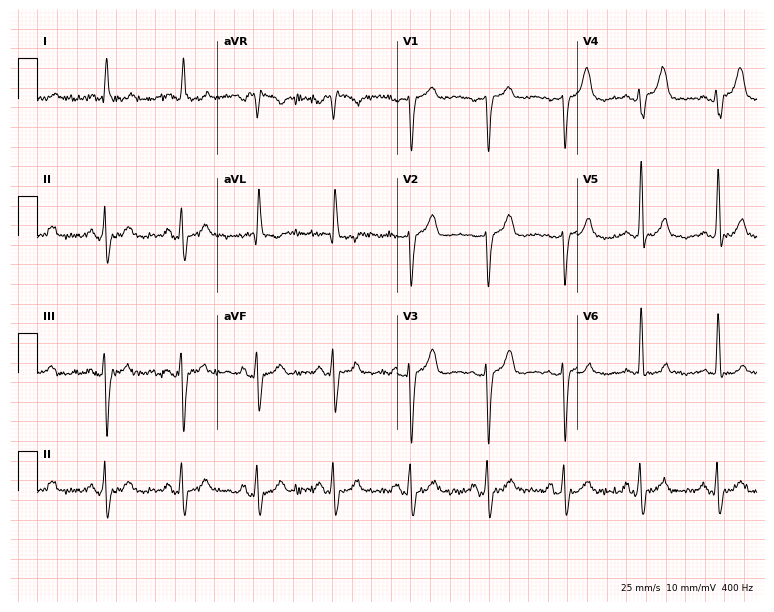
12-lead ECG from a woman, 85 years old (7.3-second recording at 400 Hz). No first-degree AV block, right bundle branch block (RBBB), left bundle branch block (LBBB), sinus bradycardia, atrial fibrillation (AF) or sinus tachycardia recorded for this tracing. Only these six findings were labelled.